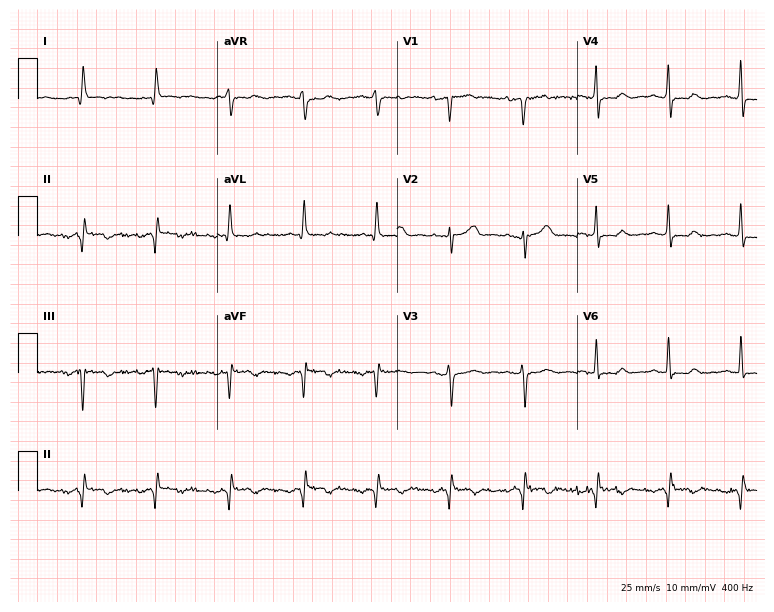
Standard 12-lead ECG recorded from a woman, 65 years old. None of these six findings is recorded: first-degree AV block, right bundle branch block (RBBB), left bundle branch block (LBBB), sinus bradycardia, atrial fibrillation (AF), sinus tachycardia. Only these six findings were labelled.